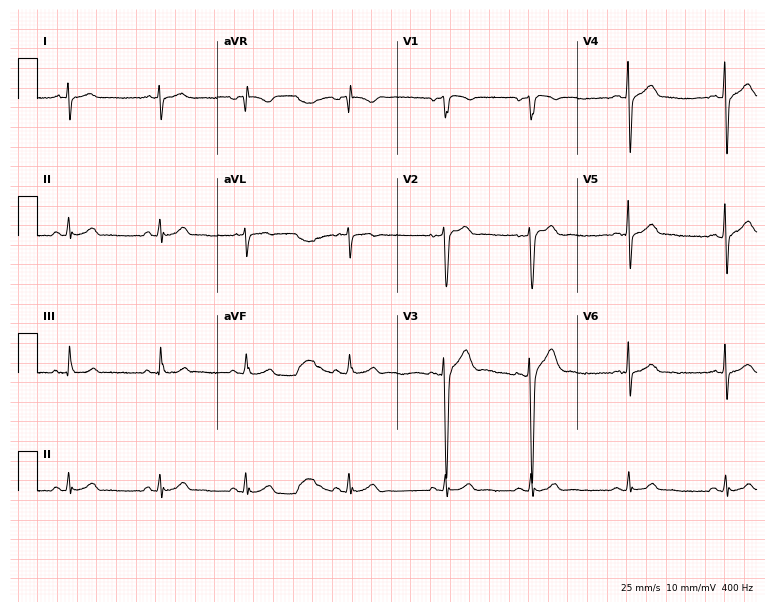
Resting 12-lead electrocardiogram (7.3-second recording at 400 Hz). Patient: a male, 25 years old. None of these six findings is recorded: first-degree AV block, right bundle branch block, left bundle branch block, sinus bradycardia, atrial fibrillation, sinus tachycardia. Other findings, if any, are not listed.